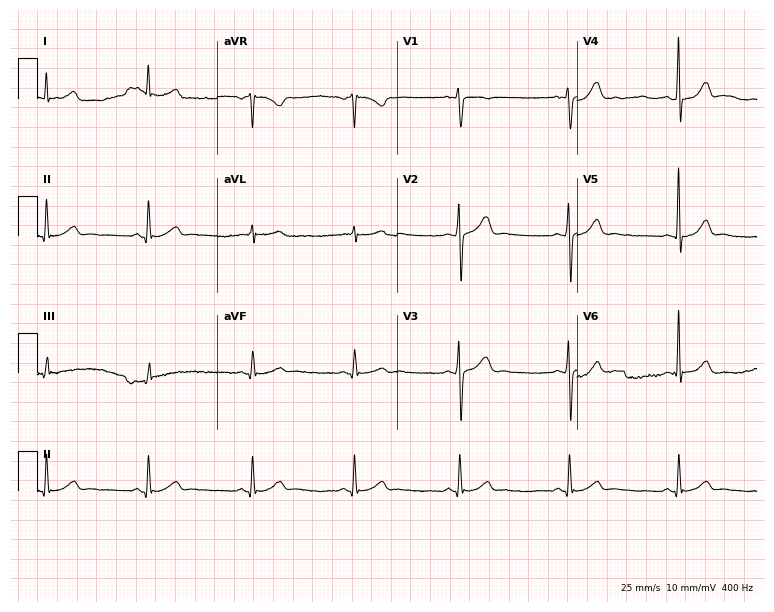
12-lead ECG from a 36-year-old male. No first-degree AV block, right bundle branch block (RBBB), left bundle branch block (LBBB), sinus bradycardia, atrial fibrillation (AF) or sinus tachycardia recorded for this tracing.